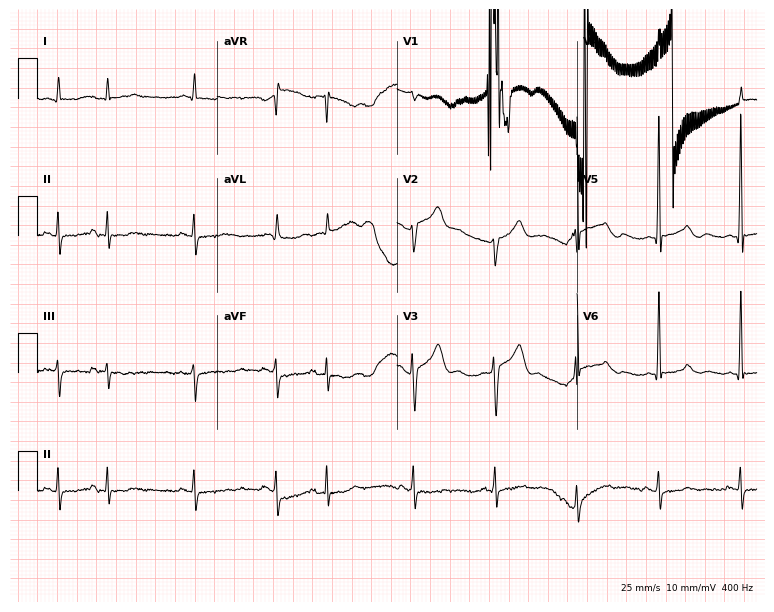
12-lead ECG from a male, 56 years old. Screened for six findings — first-degree AV block, right bundle branch block, left bundle branch block, sinus bradycardia, atrial fibrillation, sinus tachycardia — none is recorded. Only these six findings were labelled.